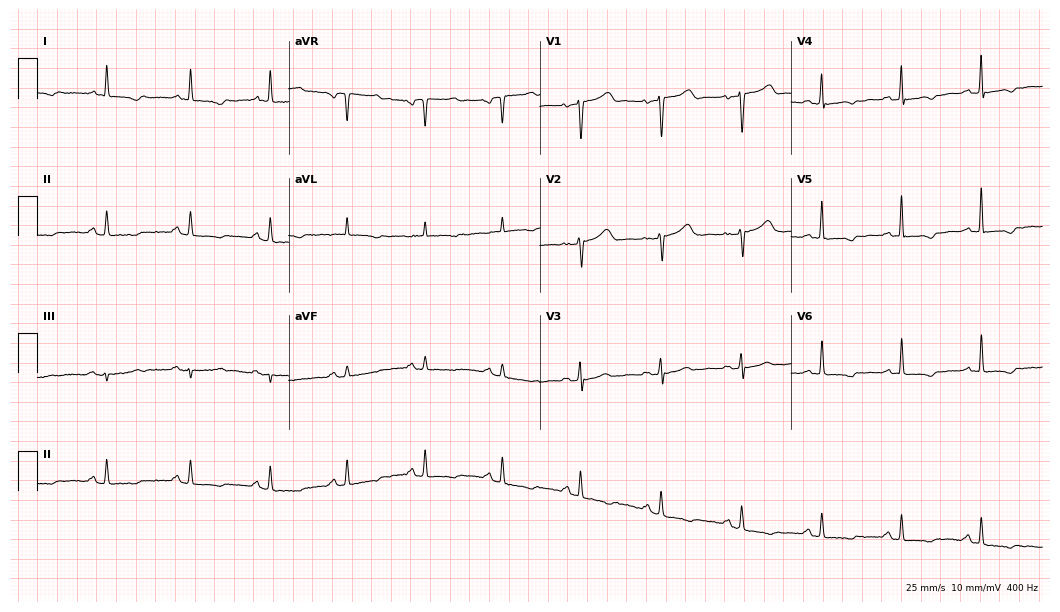
12-lead ECG (10.2-second recording at 400 Hz) from a 58-year-old female. Screened for six findings — first-degree AV block, right bundle branch block, left bundle branch block, sinus bradycardia, atrial fibrillation, sinus tachycardia — none is recorded.